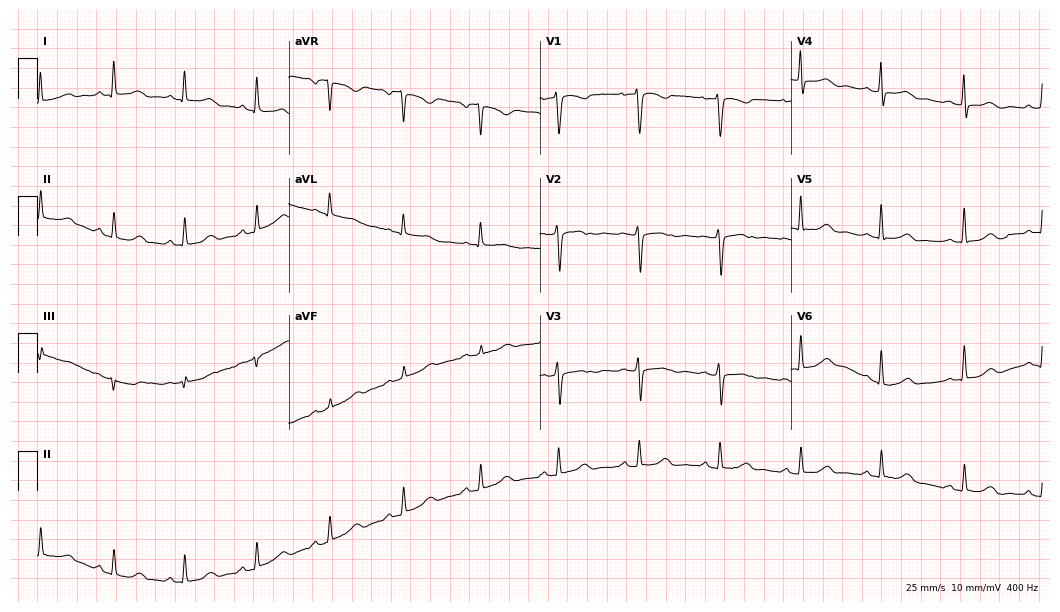
Standard 12-lead ECG recorded from a 57-year-old woman. Read as a normal ECG.